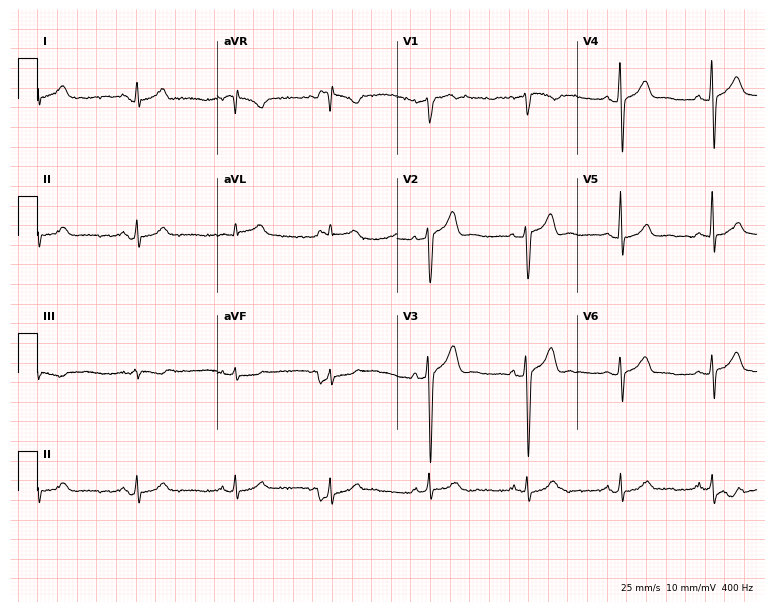
12-lead ECG from a 37-year-old male patient. Labelled as a normal ECG.